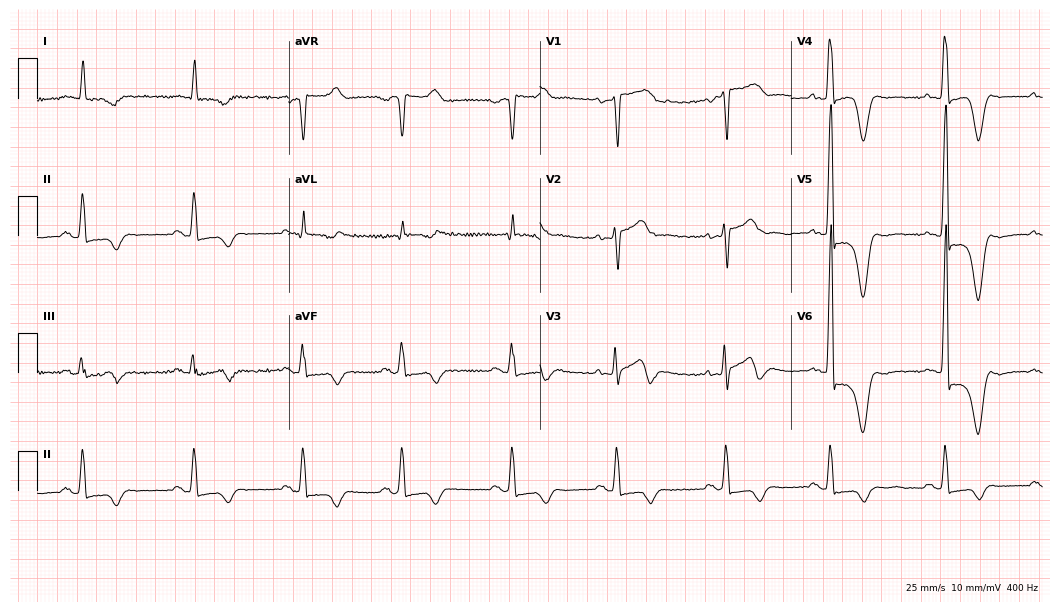
Electrocardiogram, a man, 70 years old. Of the six screened findings (first-degree AV block, right bundle branch block, left bundle branch block, sinus bradycardia, atrial fibrillation, sinus tachycardia), none is recorded.